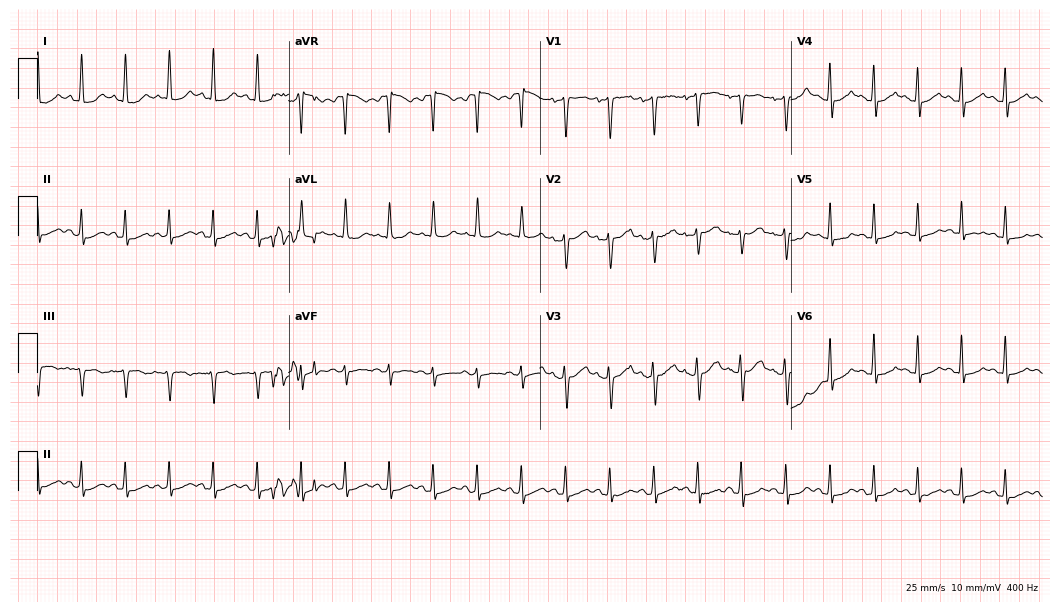
12-lead ECG from a 36-year-old female patient (10.2-second recording at 400 Hz). Shows atrial fibrillation, sinus tachycardia (a sinus rate of 100 beats per minute or more).